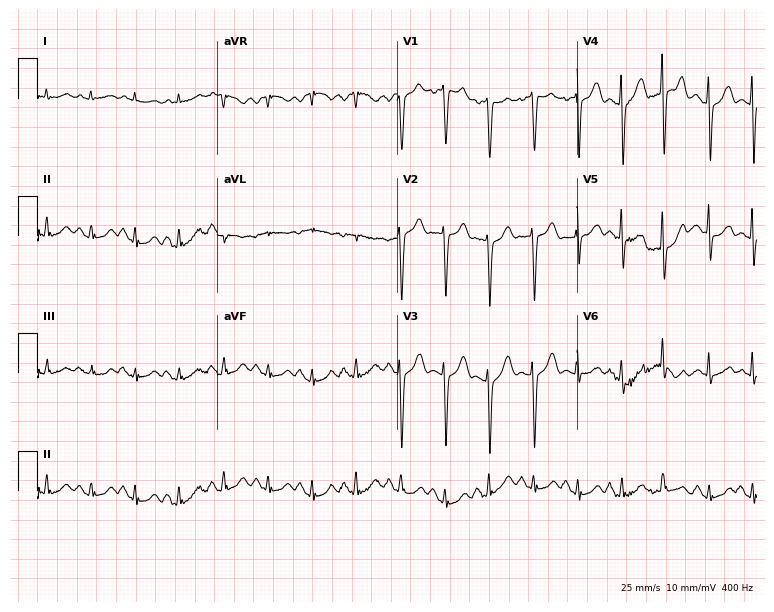
Electrocardiogram (7.3-second recording at 400 Hz), a female patient, 64 years old. Interpretation includes sinus tachycardia (a sinus rate of 100 beats per minute or more).